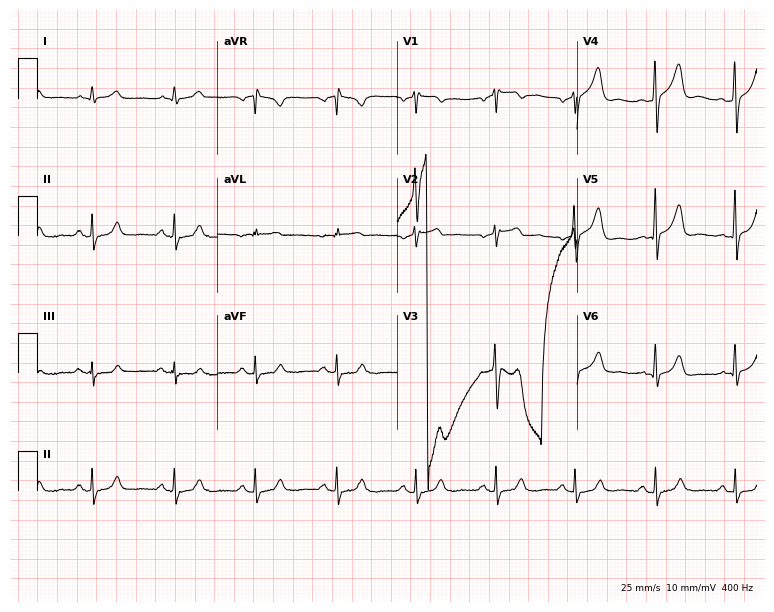
Standard 12-lead ECG recorded from a male, 72 years old (7.3-second recording at 400 Hz). None of these six findings is recorded: first-degree AV block, right bundle branch block, left bundle branch block, sinus bradycardia, atrial fibrillation, sinus tachycardia.